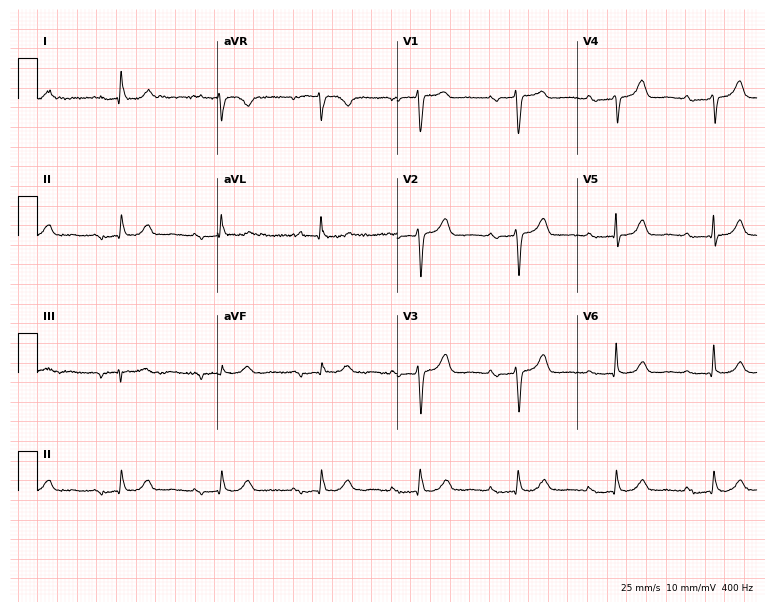
Electrocardiogram, an 84-year-old female patient. Interpretation includes first-degree AV block.